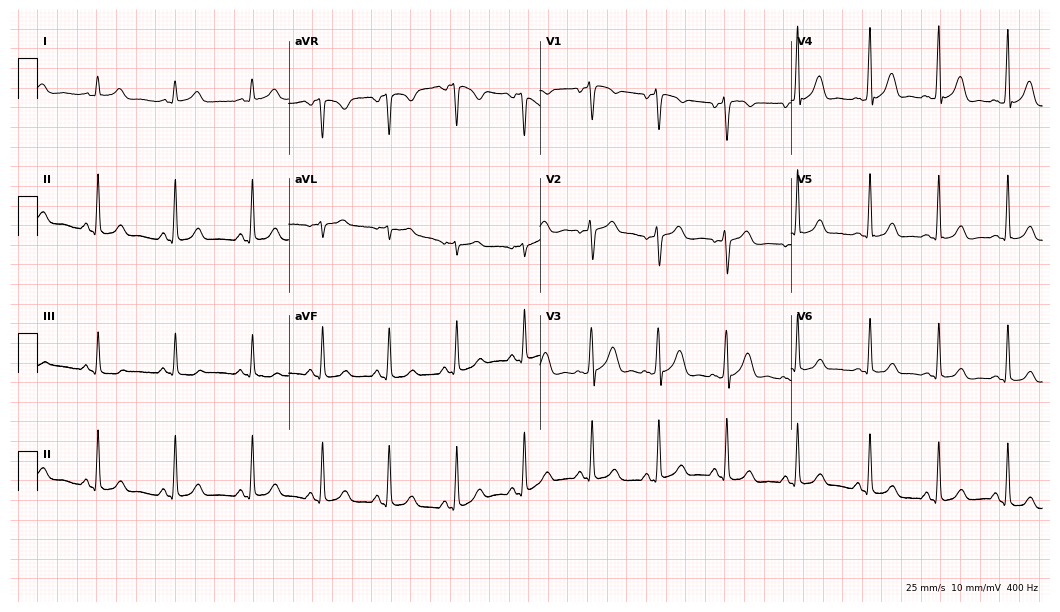
Standard 12-lead ECG recorded from a 24-year-old woman. Read as a normal ECG.